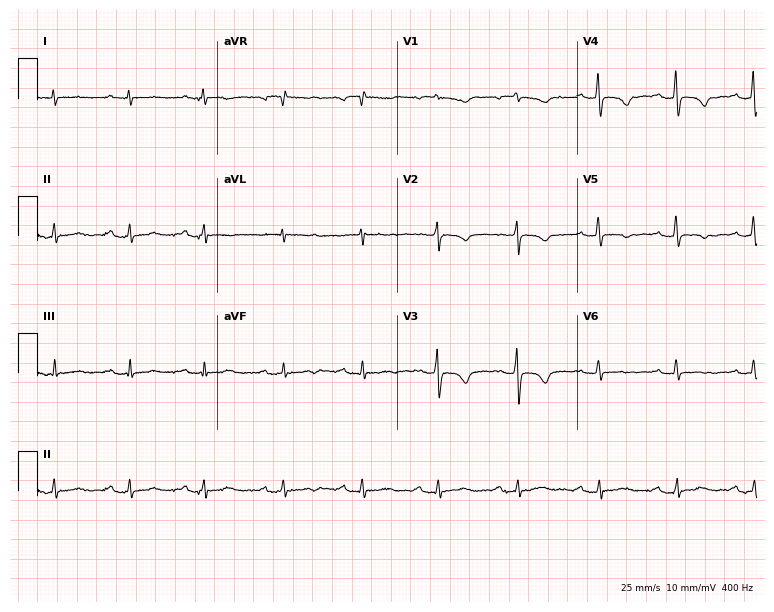
ECG — a female patient, 65 years old. Findings include first-degree AV block.